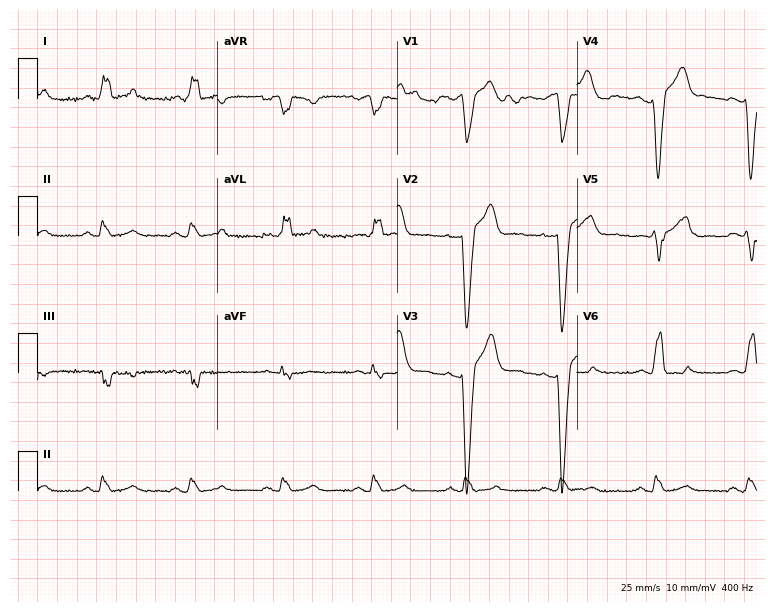
ECG (7.3-second recording at 400 Hz) — a male, 47 years old. Findings include left bundle branch block.